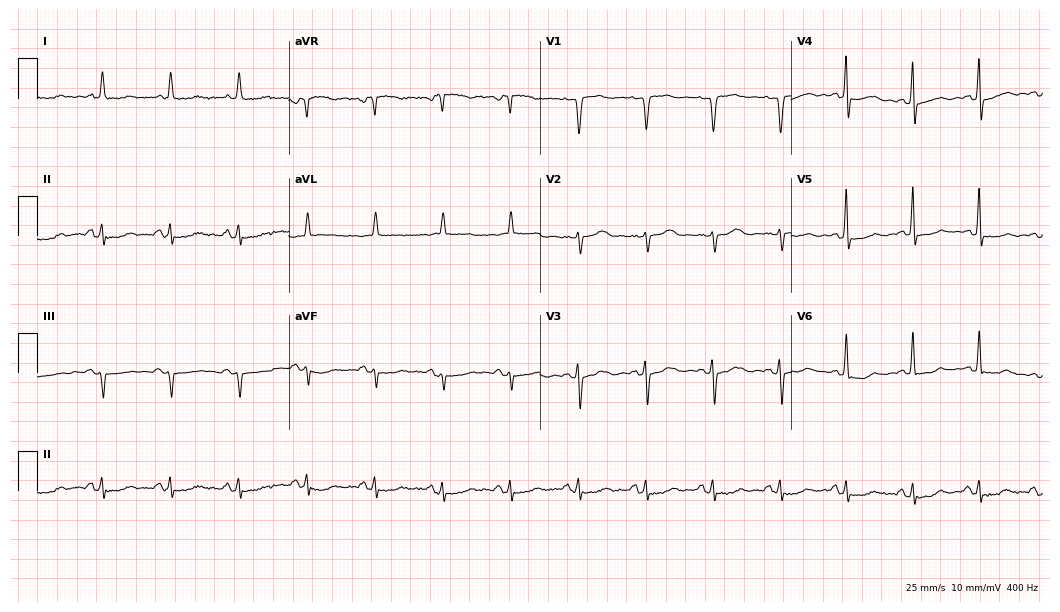
12-lead ECG from a female patient, 57 years old. Labelled as a normal ECG.